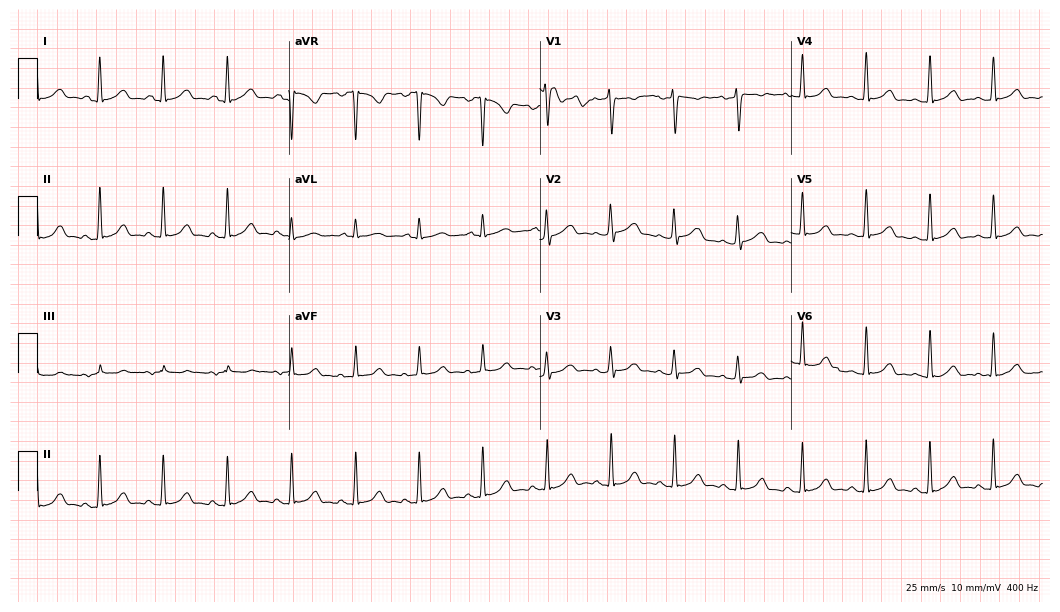
ECG — a woman, 28 years old. Labelled as a normal ECG.